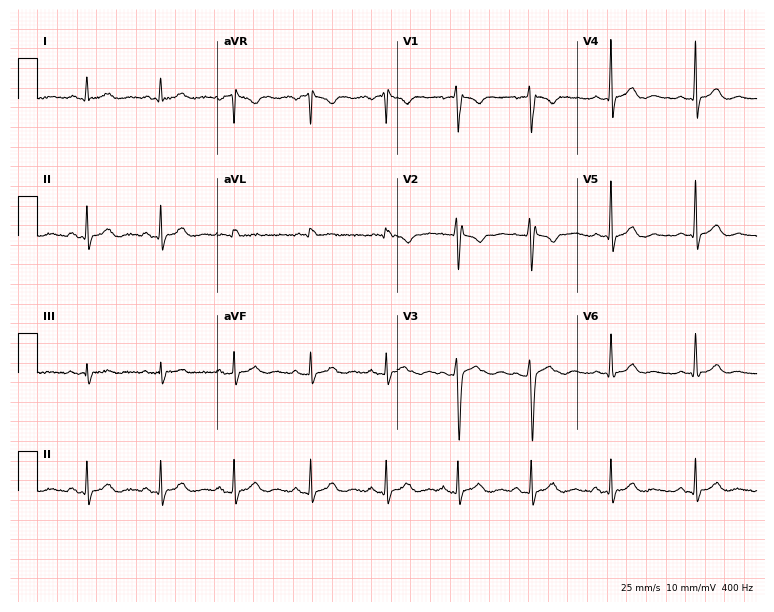
ECG — a male patient, 17 years old. Labelled as a normal ECG.